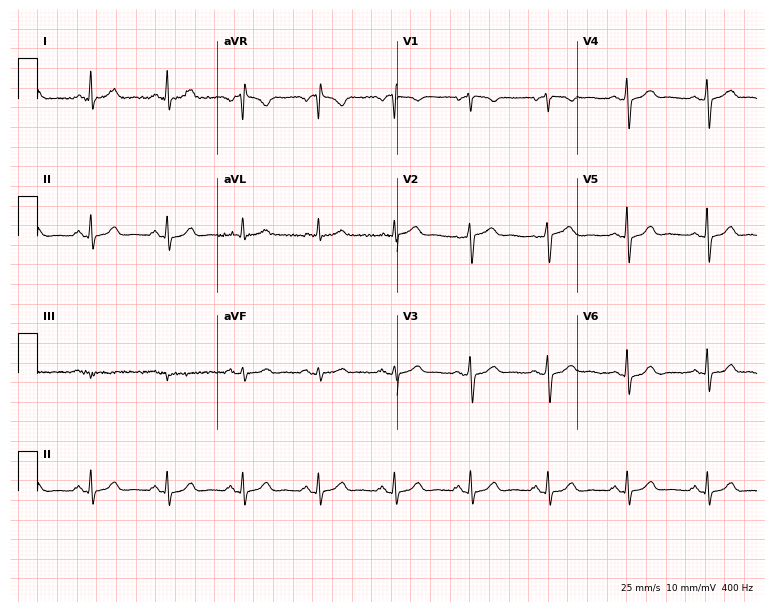
12-lead ECG from a 52-year-old female patient (7.3-second recording at 400 Hz). Recorded interpretation: within normal limits.